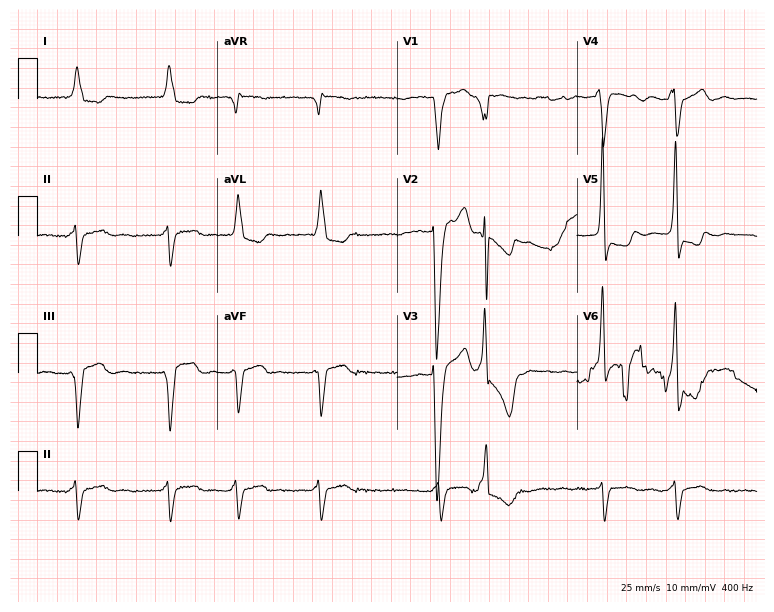
Electrocardiogram, an 82-year-old woman. Interpretation includes atrial fibrillation.